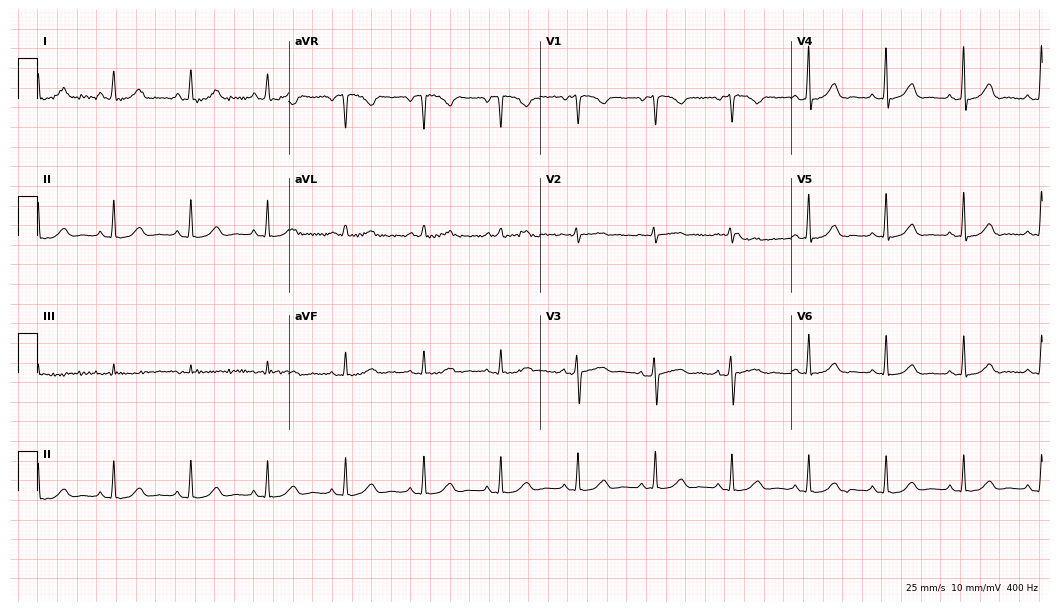
12-lead ECG from a 33-year-old female (10.2-second recording at 400 Hz). Recorded interpretation: within normal limits.